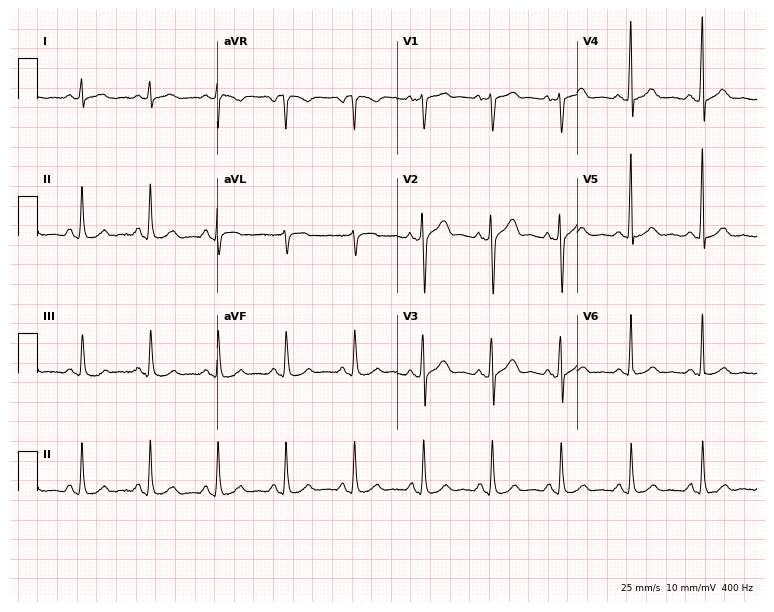
Standard 12-lead ECG recorded from a male, 51 years old (7.3-second recording at 400 Hz). Read as a normal ECG.